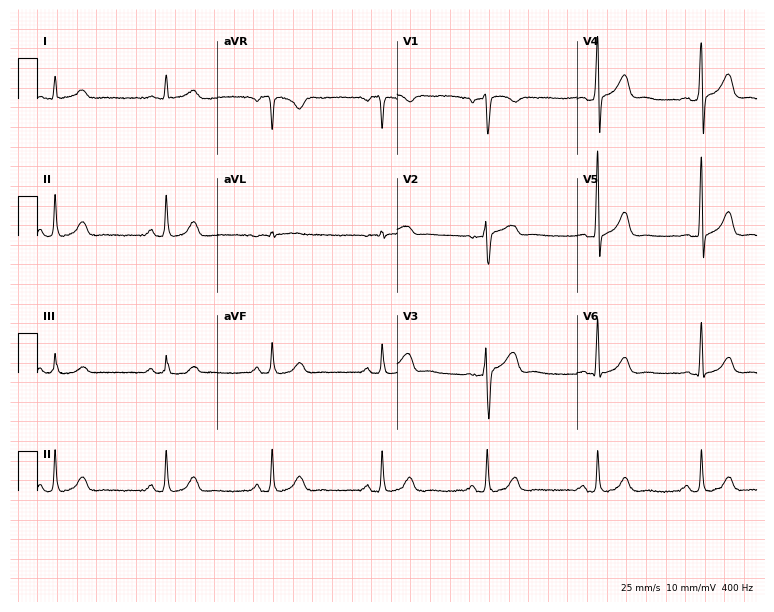
ECG — a 56-year-old male patient. Screened for six findings — first-degree AV block, right bundle branch block, left bundle branch block, sinus bradycardia, atrial fibrillation, sinus tachycardia — none is recorded.